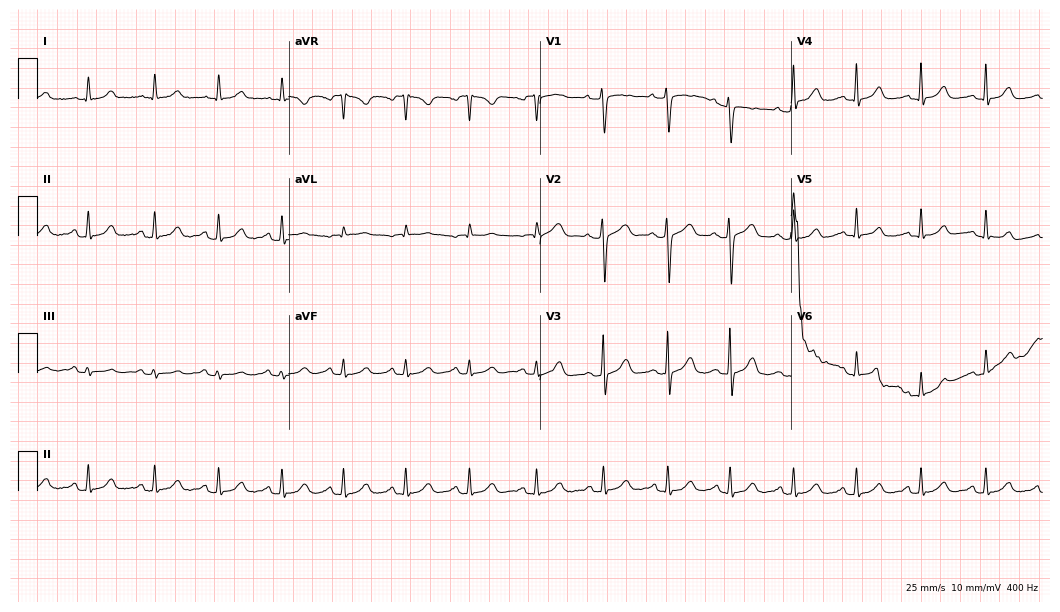
Electrocardiogram, a female, 53 years old. Overall reading on record: normal ECG.